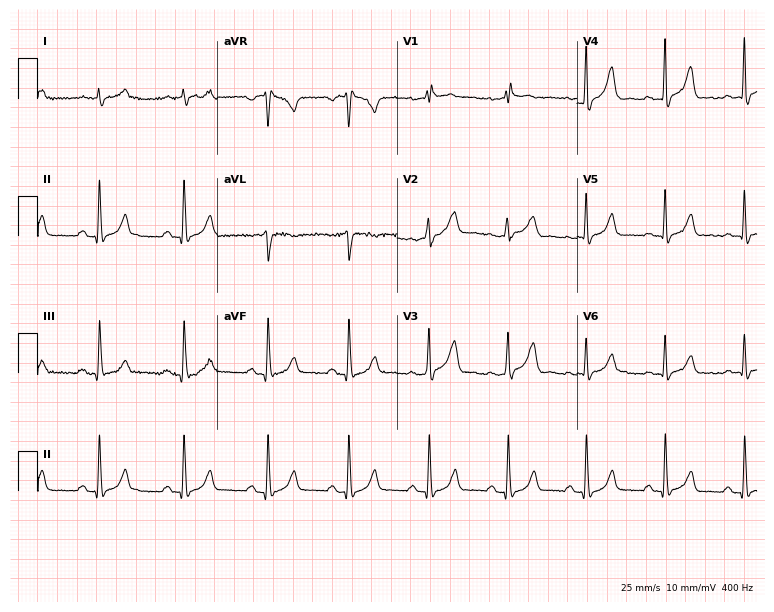
ECG (7.3-second recording at 400 Hz) — a male patient, 74 years old. Screened for six findings — first-degree AV block, right bundle branch block (RBBB), left bundle branch block (LBBB), sinus bradycardia, atrial fibrillation (AF), sinus tachycardia — none is recorded. Findings outside these six are not listed.